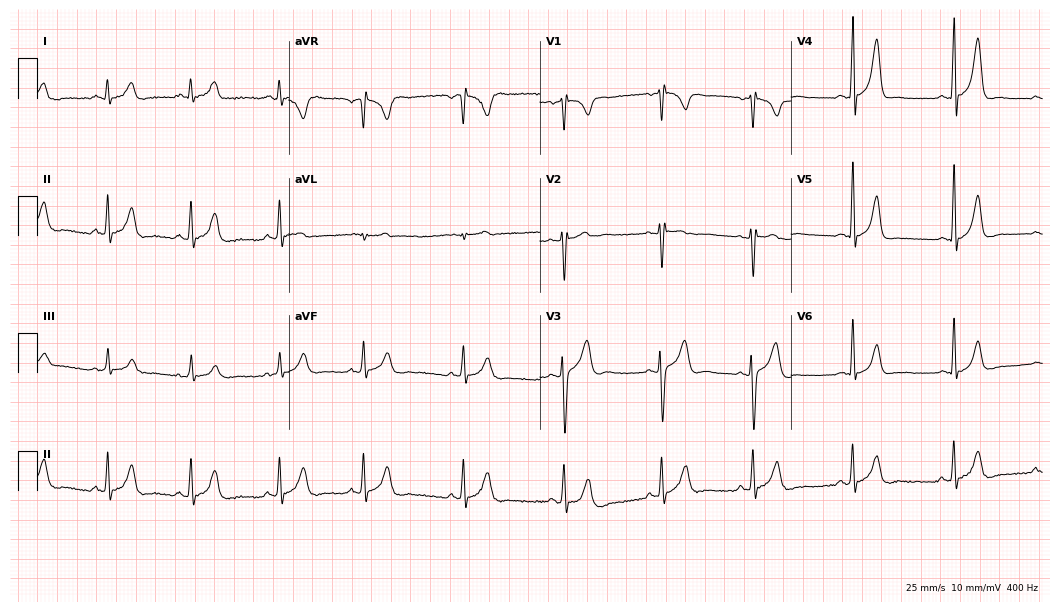
Standard 12-lead ECG recorded from a man, 21 years old (10.2-second recording at 400 Hz). Read as a normal ECG.